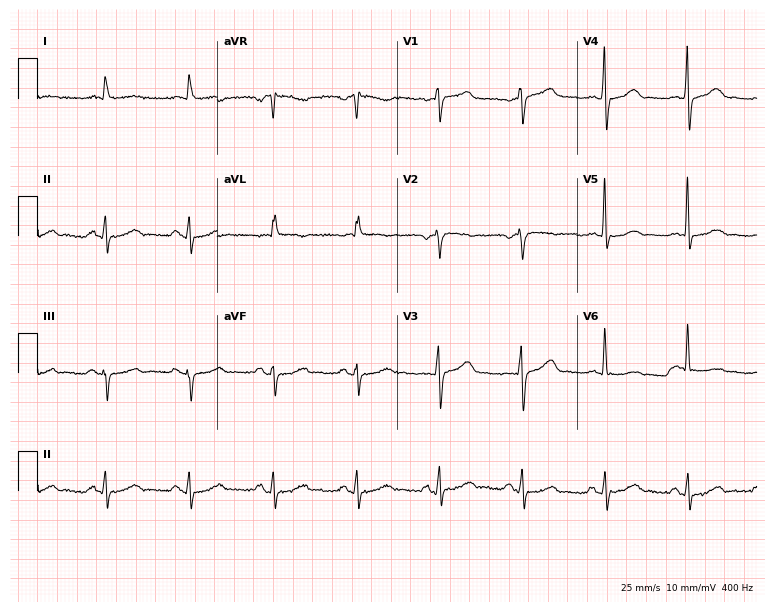
Resting 12-lead electrocardiogram (7.3-second recording at 400 Hz). Patient: a male, 63 years old. Read as a normal ECG.